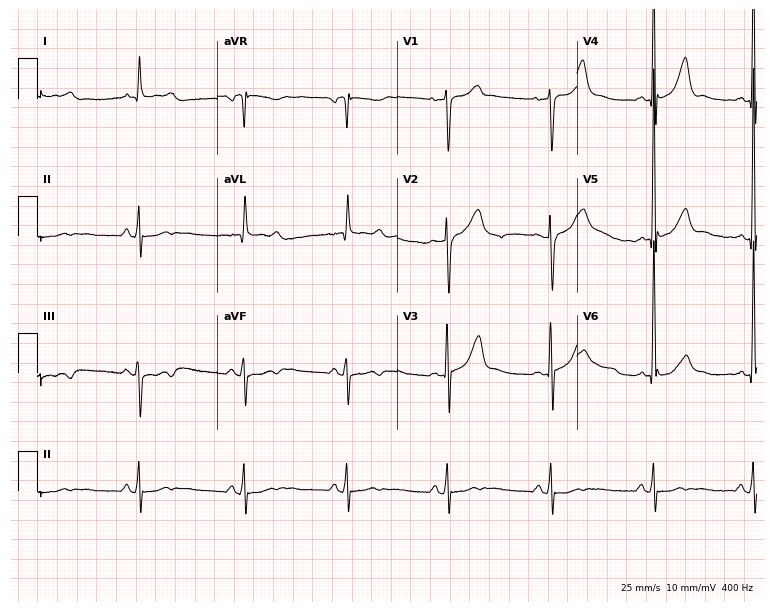
Resting 12-lead electrocardiogram. Patient: a male, 63 years old. None of these six findings is recorded: first-degree AV block, right bundle branch block (RBBB), left bundle branch block (LBBB), sinus bradycardia, atrial fibrillation (AF), sinus tachycardia.